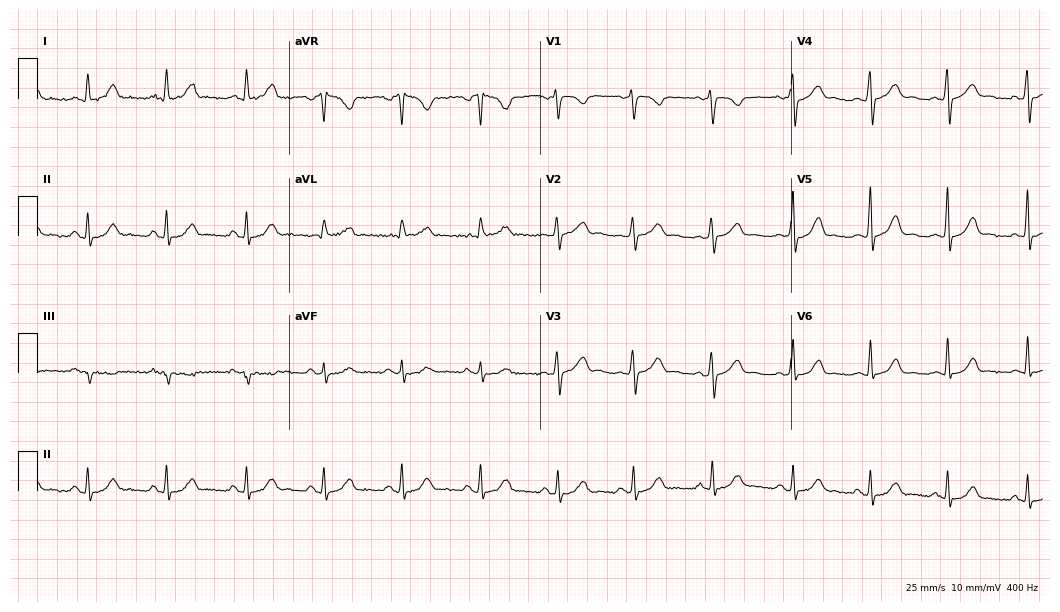
12-lead ECG from a 32-year-old woman (10.2-second recording at 400 Hz). Recorded interpretation: within normal limits.